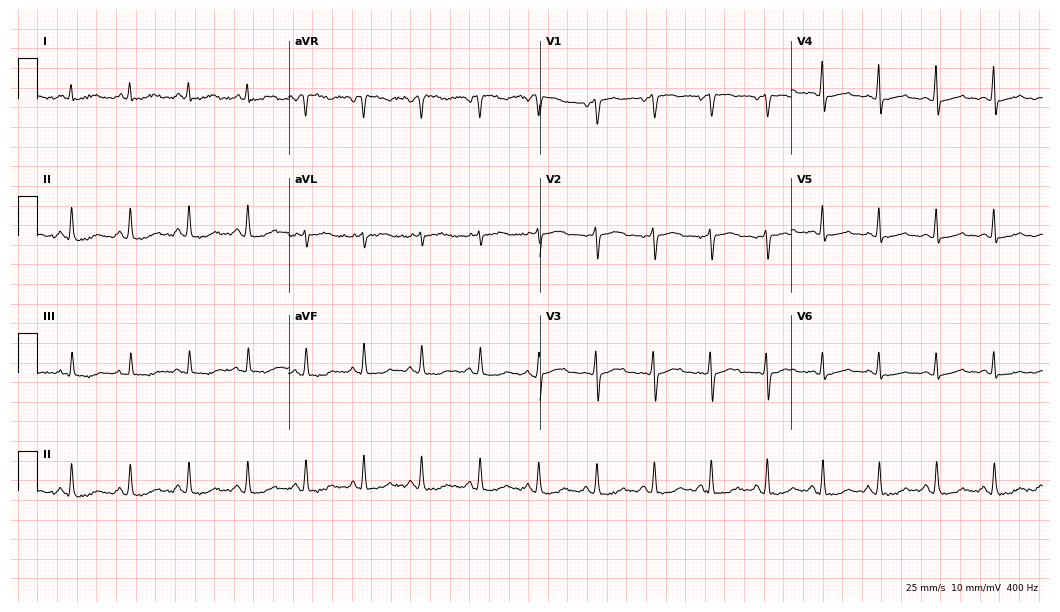
Standard 12-lead ECG recorded from a female patient, 50 years old. None of these six findings is recorded: first-degree AV block, right bundle branch block, left bundle branch block, sinus bradycardia, atrial fibrillation, sinus tachycardia. Other findings, if any, are not listed.